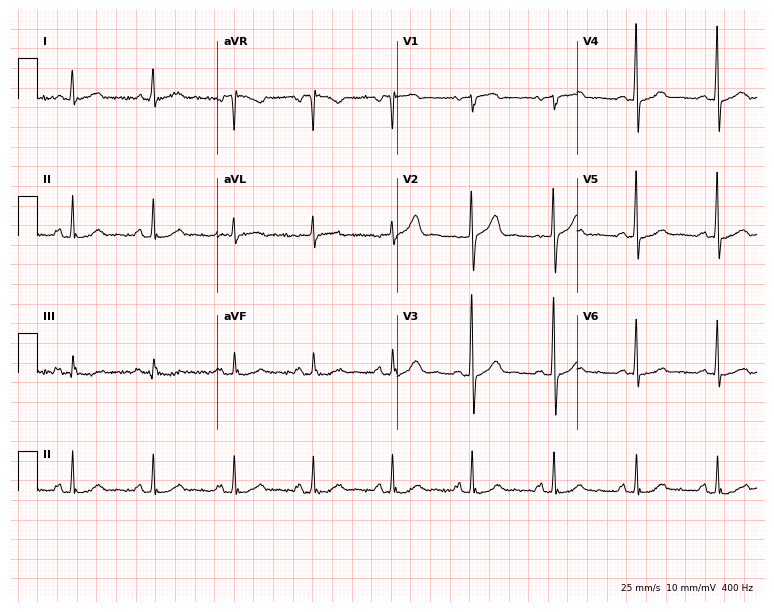
Electrocardiogram (7.3-second recording at 400 Hz), a female patient, 63 years old. Of the six screened findings (first-degree AV block, right bundle branch block (RBBB), left bundle branch block (LBBB), sinus bradycardia, atrial fibrillation (AF), sinus tachycardia), none is recorded.